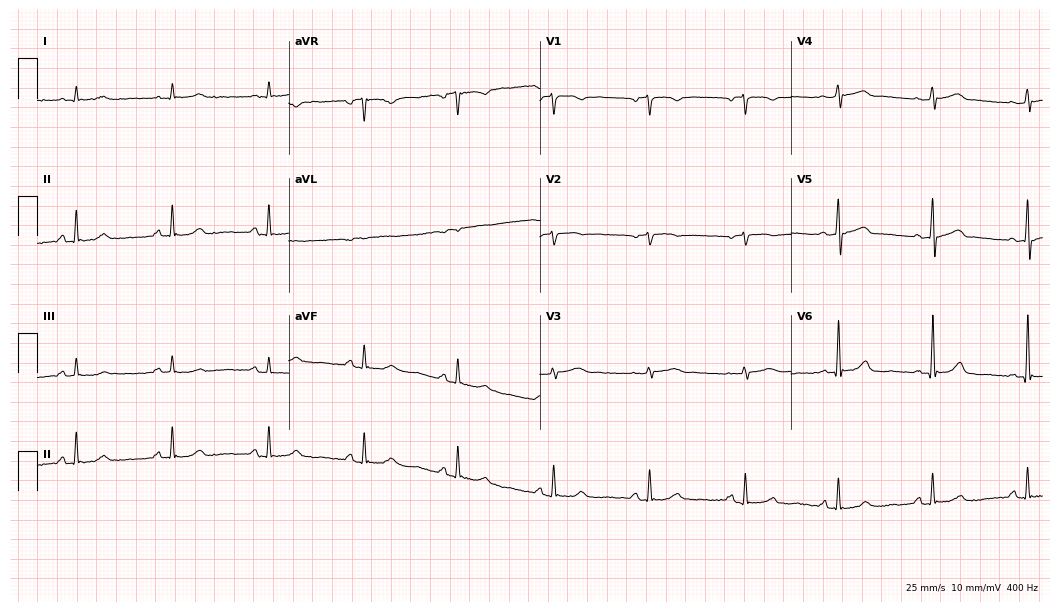
ECG (10.2-second recording at 400 Hz) — a male patient, 80 years old. Labelled as a normal ECG.